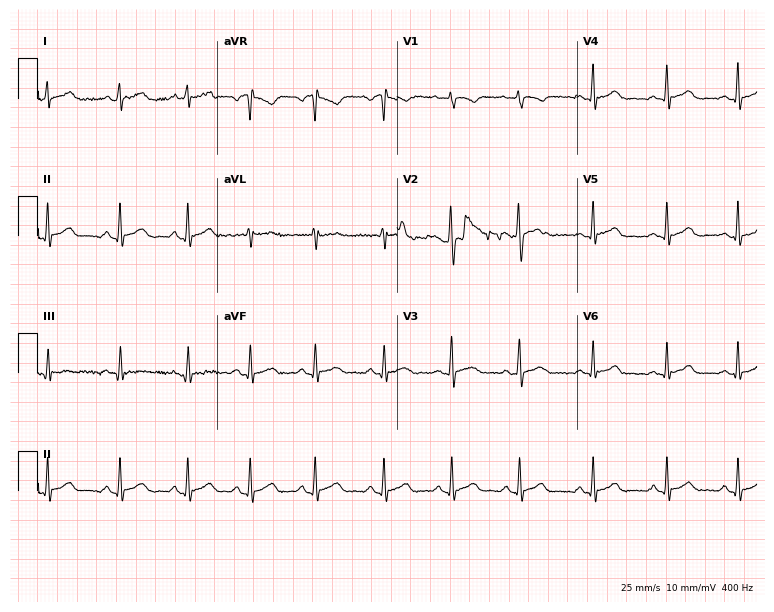
12-lead ECG from a 20-year-old woman (7.3-second recording at 400 Hz). Recorded interpretation: within normal limits.